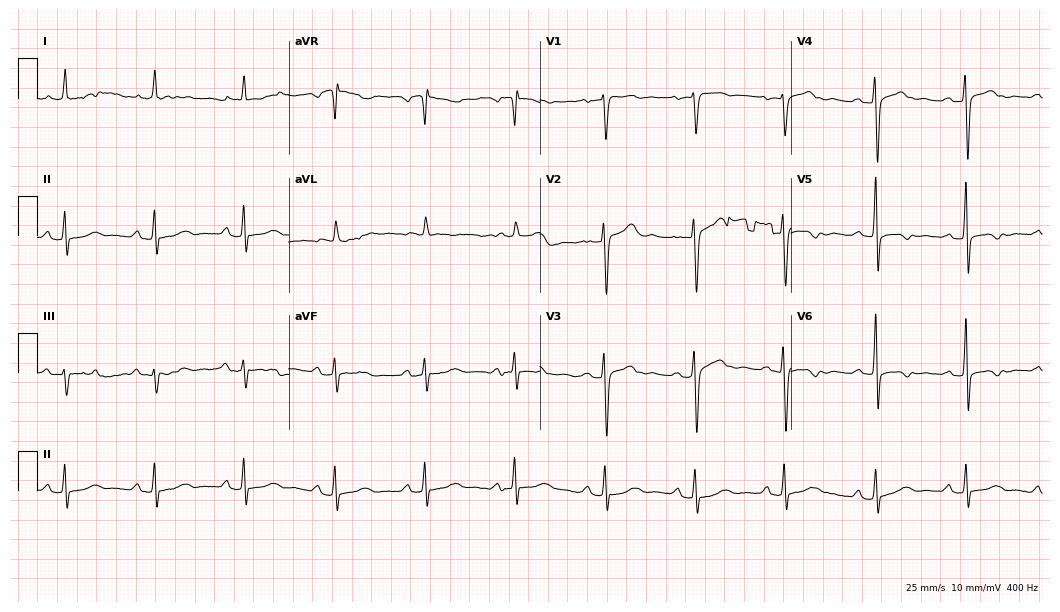
Standard 12-lead ECG recorded from a female, 77 years old (10.2-second recording at 400 Hz). Read as a normal ECG.